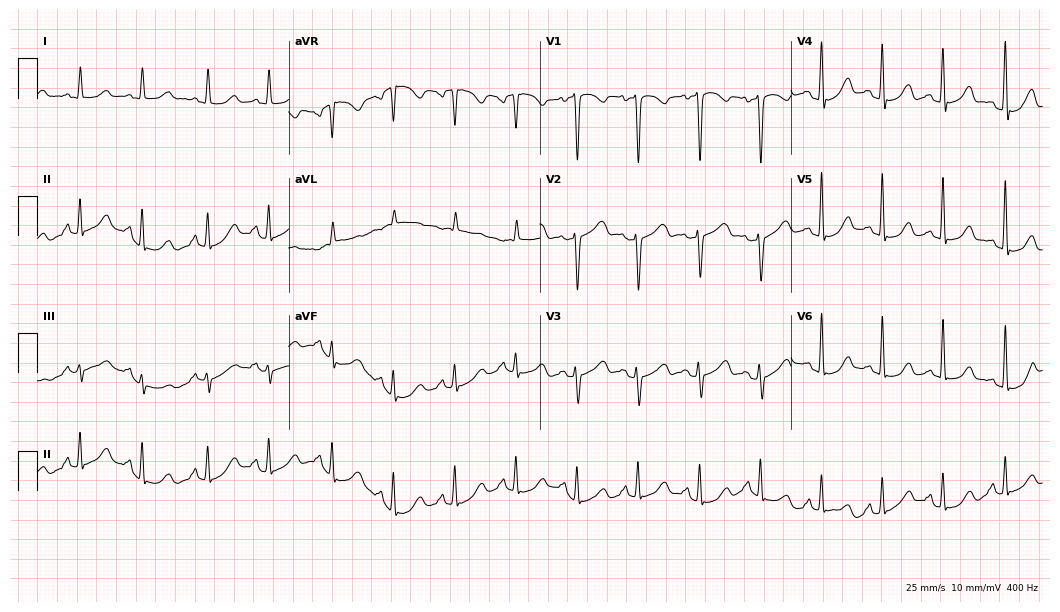
Resting 12-lead electrocardiogram (10.2-second recording at 400 Hz). Patient: a female, 55 years old. Read as a normal ECG.